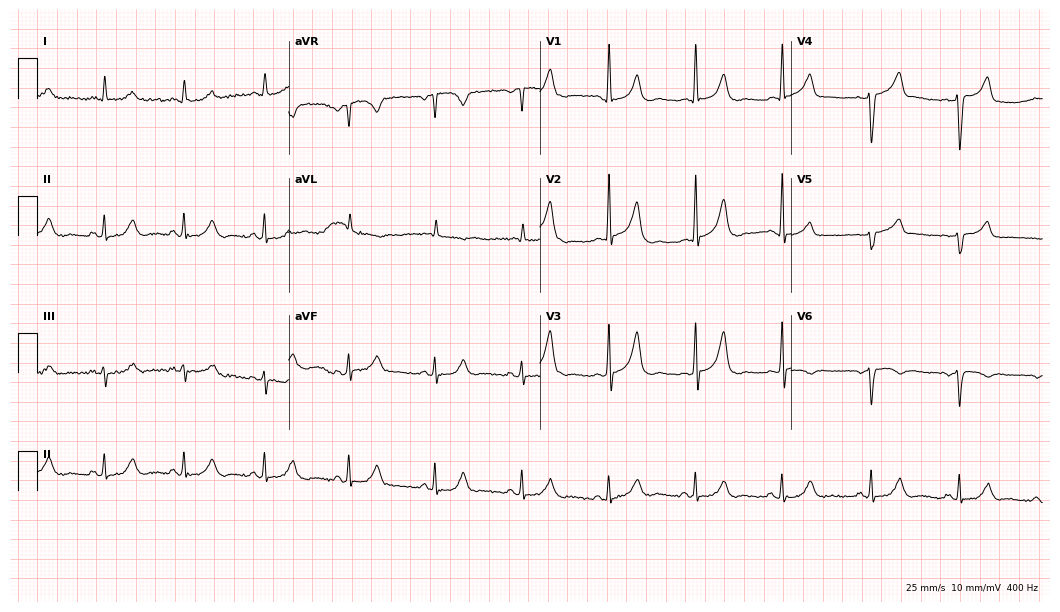
12-lead ECG (10.2-second recording at 400 Hz) from a 50-year-old woman. Screened for six findings — first-degree AV block, right bundle branch block, left bundle branch block, sinus bradycardia, atrial fibrillation, sinus tachycardia — none is recorded.